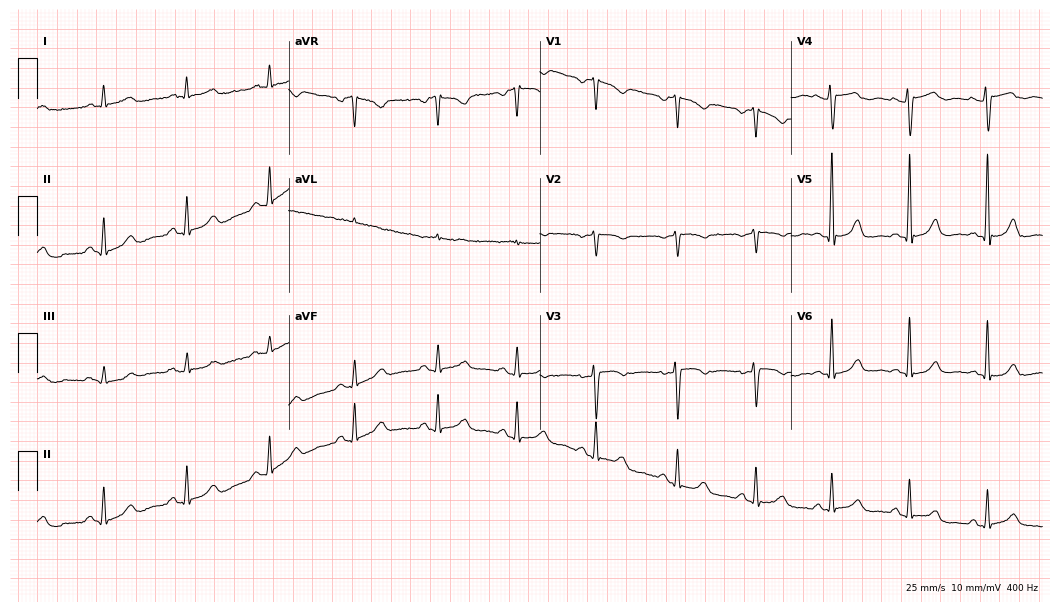
Resting 12-lead electrocardiogram (10.2-second recording at 400 Hz). Patient: a 61-year-old female. None of these six findings is recorded: first-degree AV block, right bundle branch block, left bundle branch block, sinus bradycardia, atrial fibrillation, sinus tachycardia. Only these six findings were labelled.